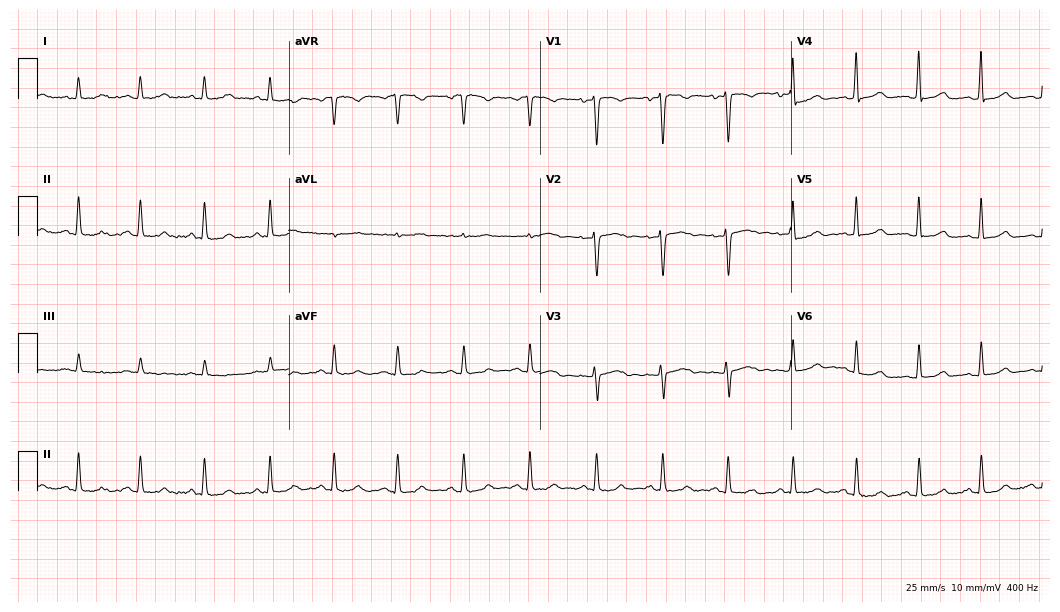
ECG (10.2-second recording at 400 Hz) — a 42-year-old female patient. Labelled as a normal ECG.